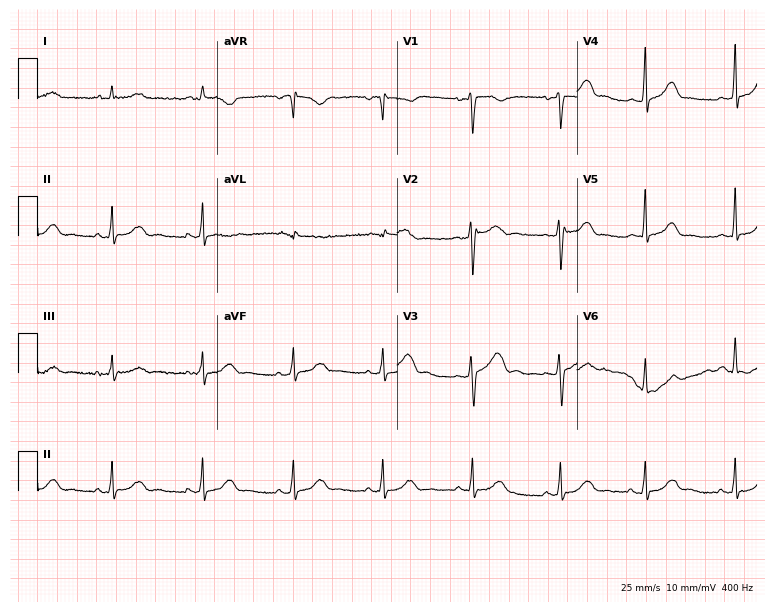
Standard 12-lead ECG recorded from a female, 40 years old. None of these six findings is recorded: first-degree AV block, right bundle branch block (RBBB), left bundle branch block (LBBB), sinus bradycardia, atrial fibrillation (AF), sinus tachycardia.